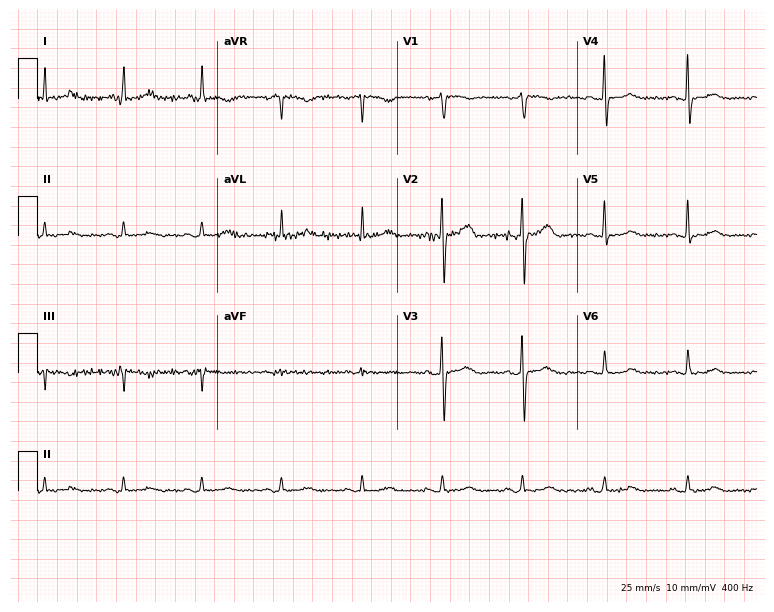
Electrocardiogram (7.3-second recording at 400 Hz), a woman, 47 years old. Overall reading on record: normal ECG.